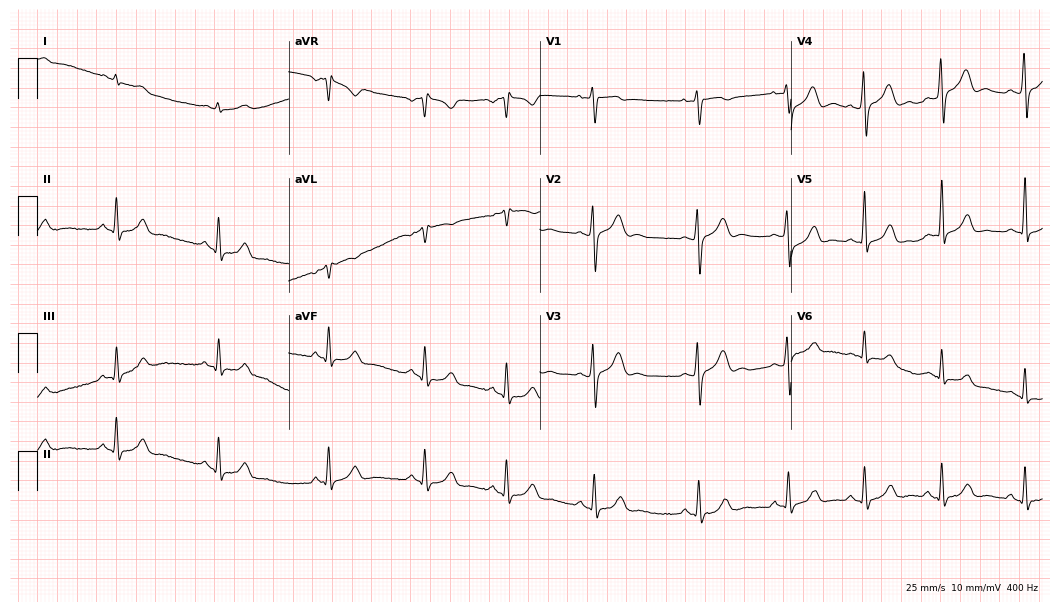
Resting 12-lead electrocardiogram. Patient: a 22-year-old man. None of these six findings is recorded: first-degree AV block, right bundle branch block (RBBB), left bundle branch block (LBBB), sinus bradycardia, atrial fibrillation (AF), sinus tachycardia.